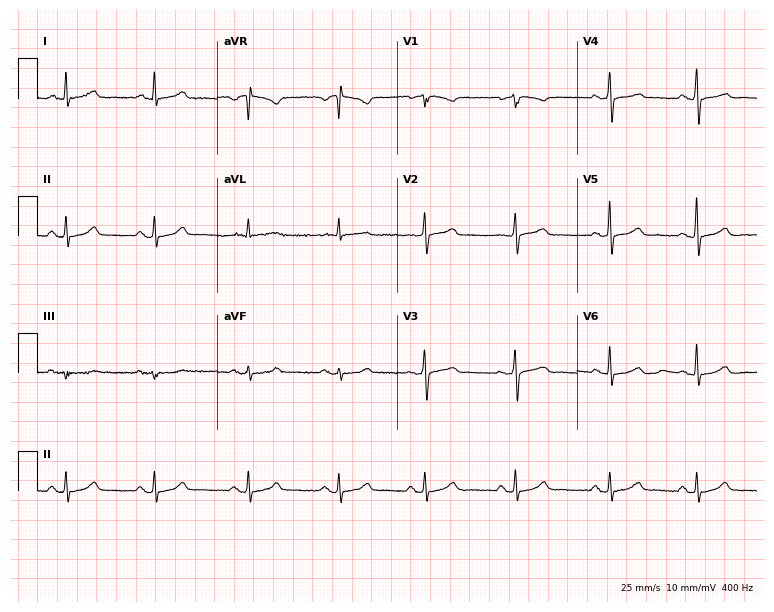
Standard 12-lead ECG recorded from a woman, 67 years old. Read as a normal ECG.